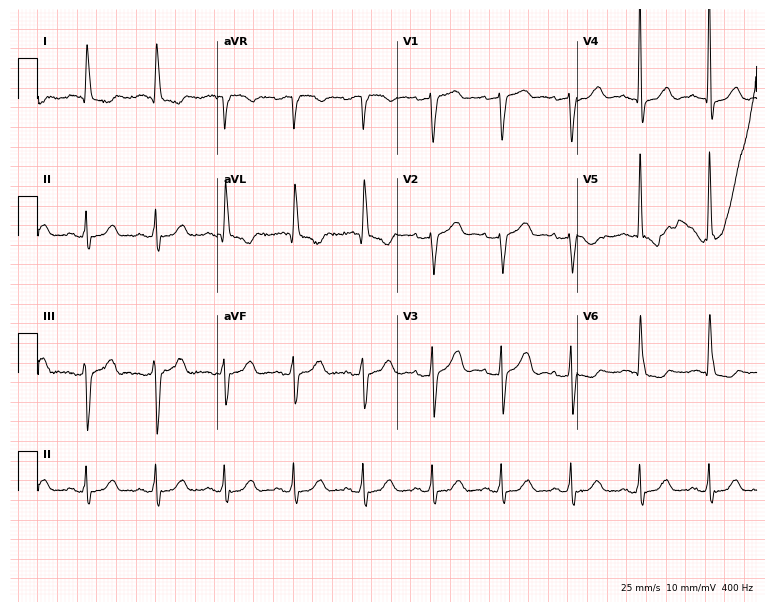
Standard 12-lead ECG recorded from an 85-year-old male. None of these six findings is recorded: first-degree AV block, right bundle branch block (RBBB), left bundle branch block (LBBB), sinus bradycardia, atrial fibrillation (AF), sinus tachycardia.